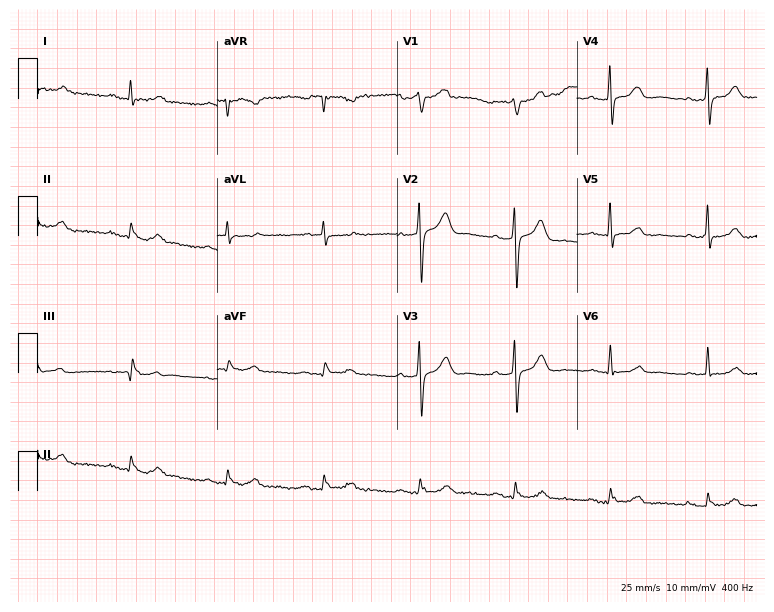
ECG — a 62-year-old male. Screened for six findings — first-degree AV block, right bundle branch block (RBBB), left bundle branch block (LBBB), sinus bradycardia, atrial fibrillation (AF), sinus tachycardia — none is recorded. Only these six findings were labelled.